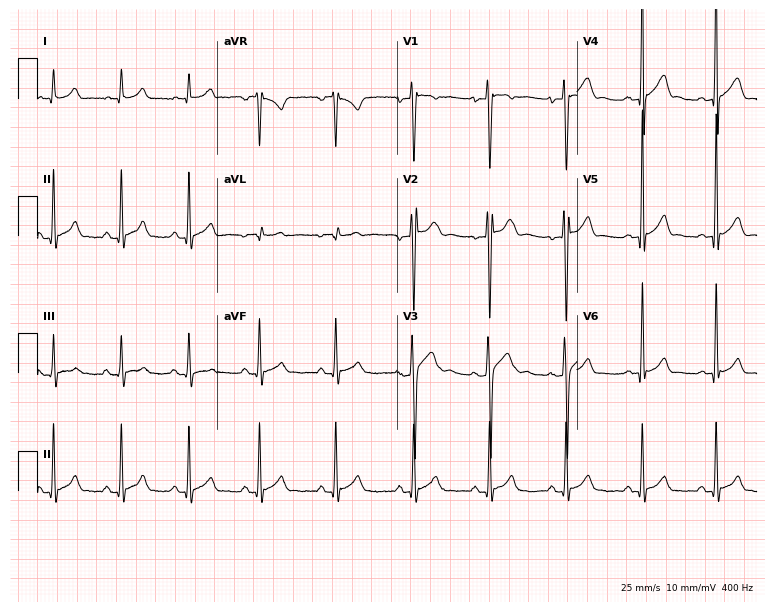
12-lead ECG from a male, 19 years old. No first-degree AV block, right bundle branch block, left bundle branch block, sinus bradycardia, atrial fibrillation or sinus tachycardia recorded for this tracing.